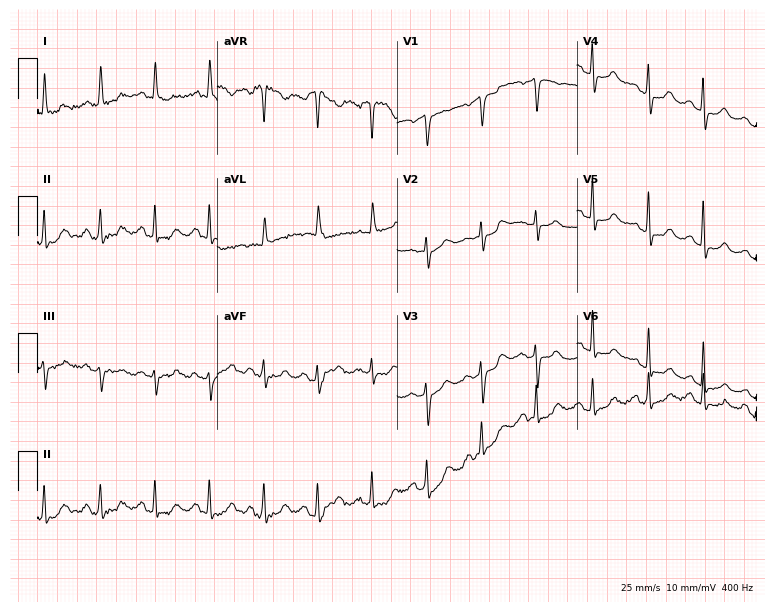
Electrocardiogram (7.3-second recording at 400 Hz), a woman, 64 years old. Of the six screened findings (first-degree AV block, right bundle branch block (RBBB), left bundle branch block (LBBB), sinus bradycardia, atrial fibrillation (AF), sinus tachycardia), none is recorded.